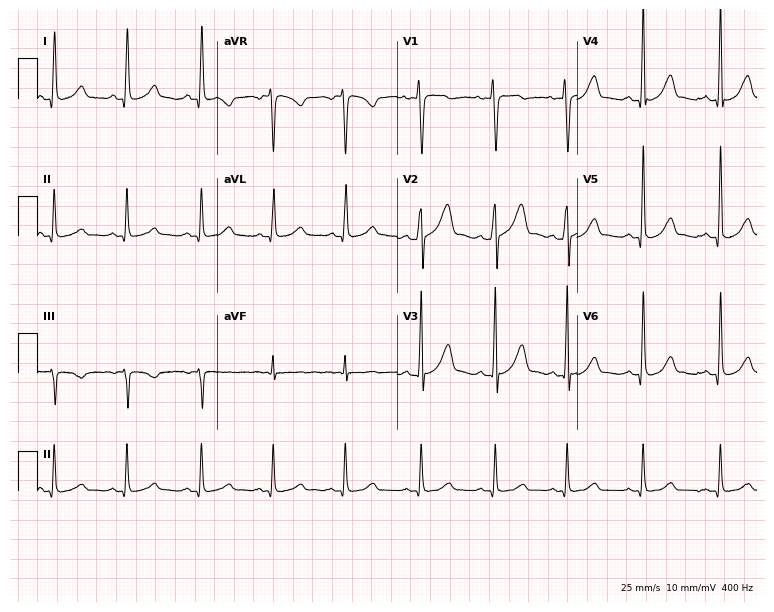
ECG (7.3-second recording at 400 Hz) — a woman, 25 years old. Labelled as a normal ECG.